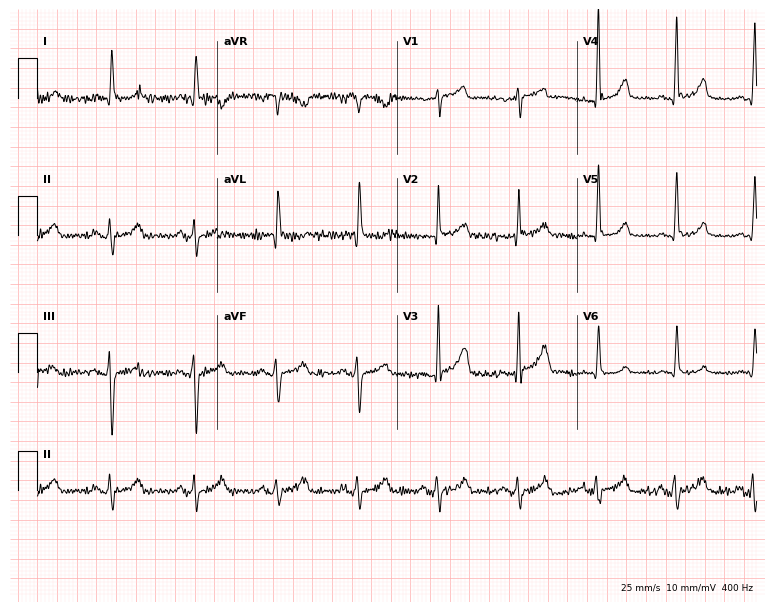
Standard 12-lead ECG recorded from a 77-year-old female. None of these six findings is recorded: first-degree AV block, right bundle branch block, left bundle branch block, sinus bradycardia, atrial fibrillation, sinus tachycardia. Only these six findings were labelled.